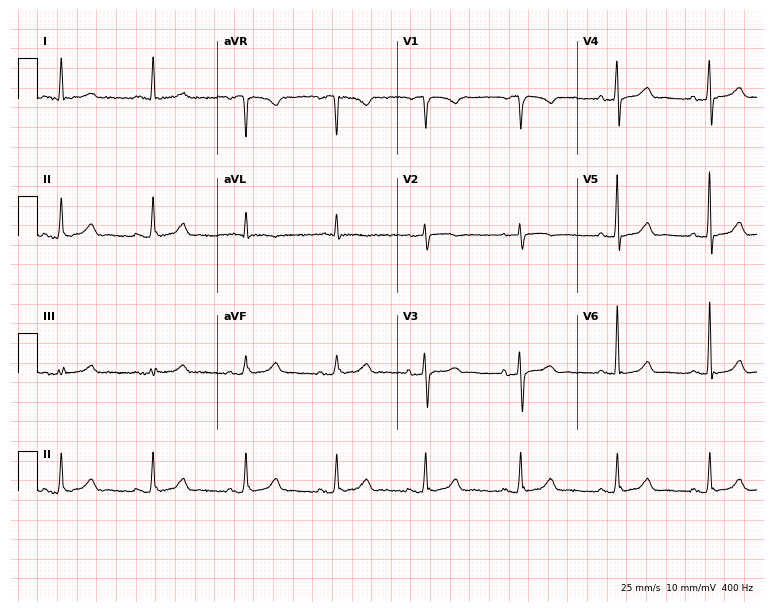
Resting 12-lead electrocardiogram. Patient: a 78-year-old female. Read as a normal ECG.